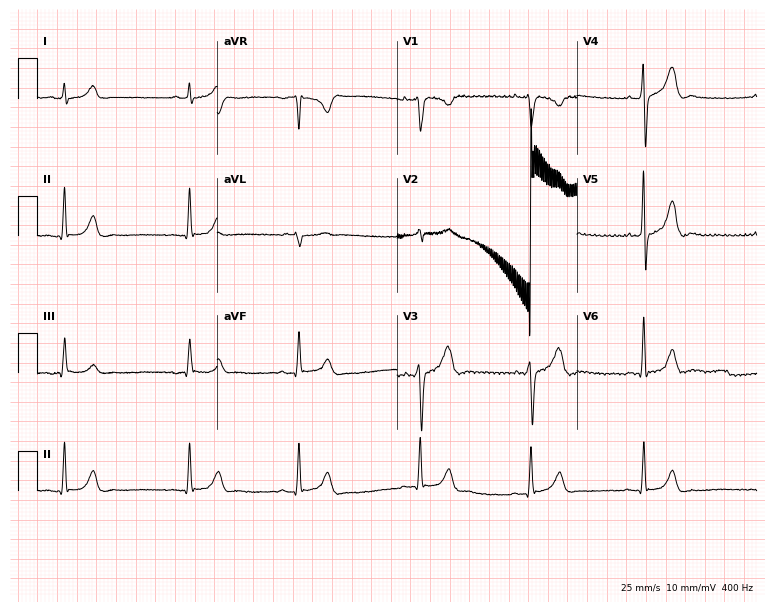
12-lead ECG (7.3-second recording at 400 Hz) from a 27-year-old male. Findings include atrial fibrillation.